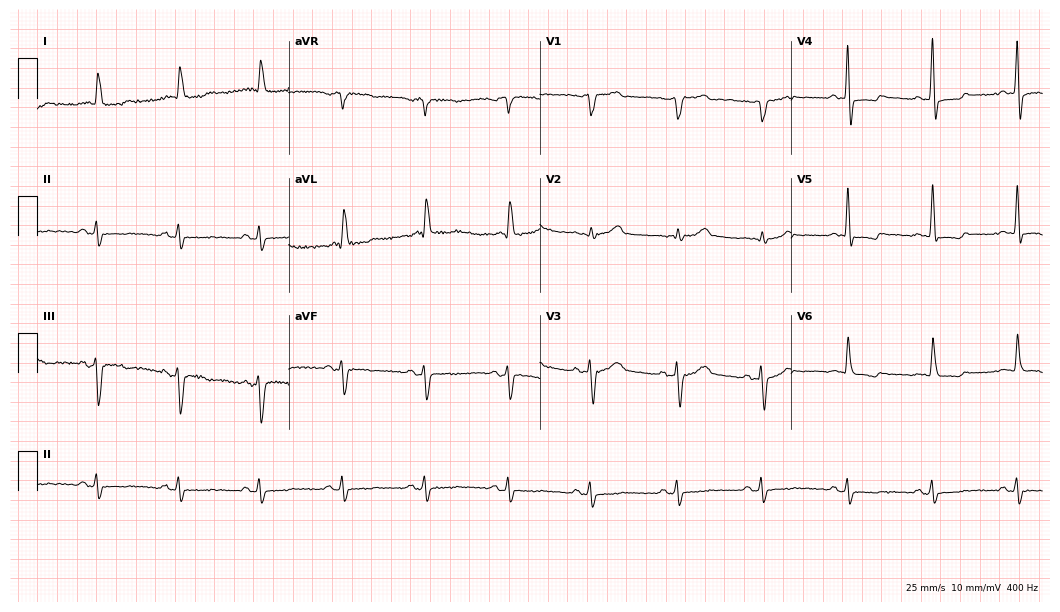
Electrocardiogram (10.2-second recording at 400 Hz), a male patient, 85 years old. Of the six screened findings (first-degree AV block, right bundle branch block, left bundle branch block, sinus bradycardia, atrial fibrillation, sinus tachycardia), none is recorded. Findings outside these six are not listed.